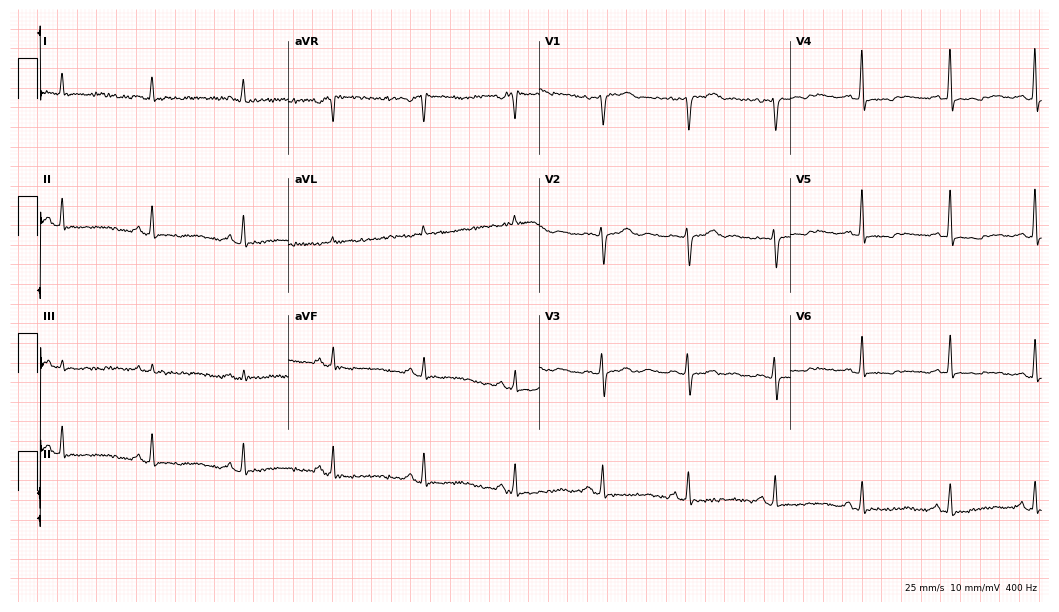
ECG — a 68-year-old female patient. Screened for six findings — first-degree AV block, right bundle branch block, left bundle branch block, sinus bradycardia, atrial fibrillation, sinus tachycardia — none is recorded. Other findings, if any, are not listed.